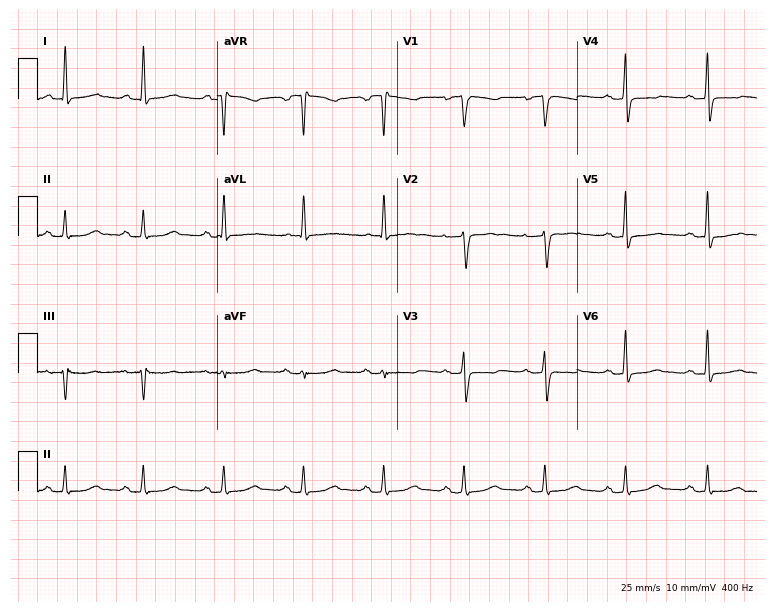
ECG (7.3-second recording at 400 Hz) — a 70-year-old woman. Screened for six findings — first-degree AV block, right bundle branch block (RBBB), left bundle branch block (LBBB), sinus bradycardia, atrial fibrillation (AF), sinus tachycardia — none is recorded.